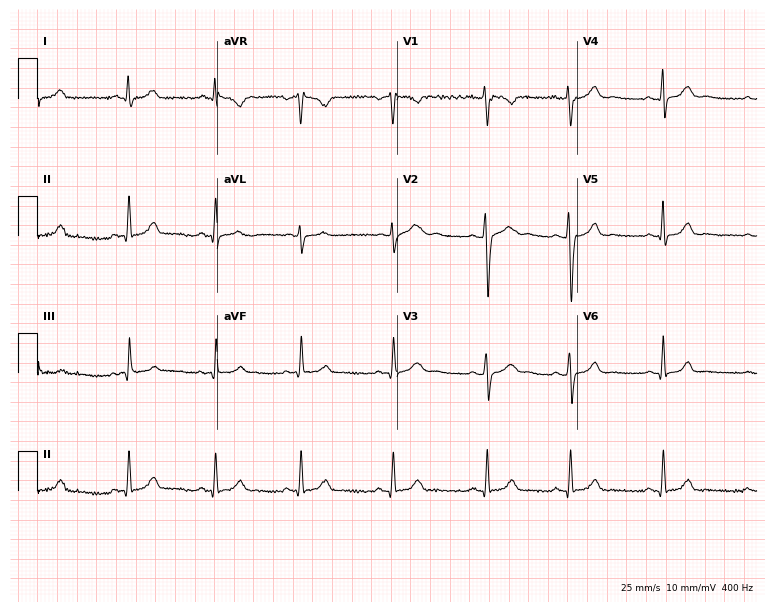
Standard 12-lead ECG recorded from a woman, 23 years old. Read as a normal ECG.